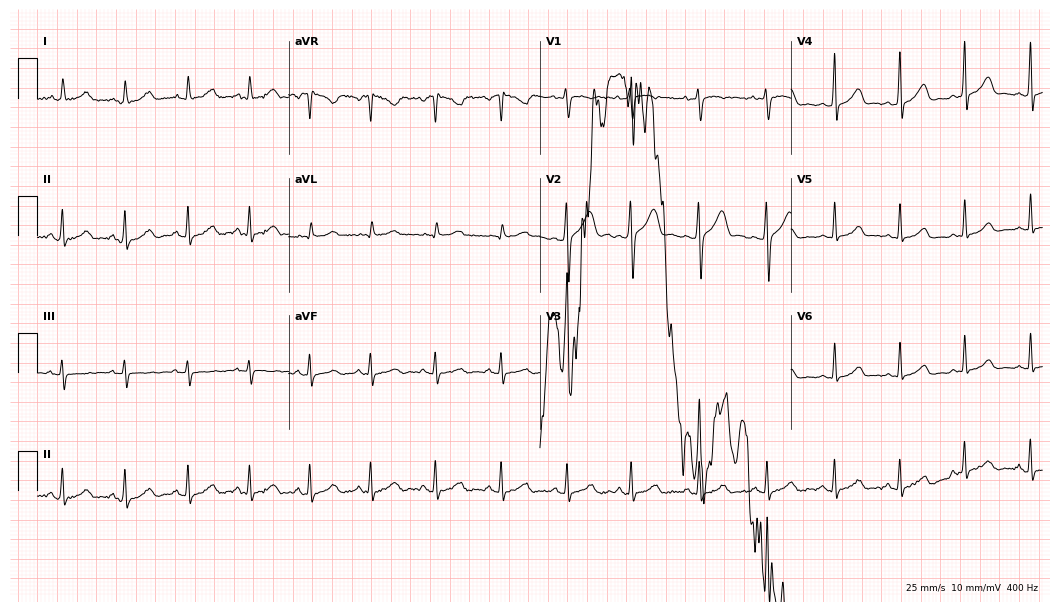
Resting 12-lead electrocardiogram (10.2-second recording at 400 Hz). Patient: a female, 20 years old. Read as a normal ECG.